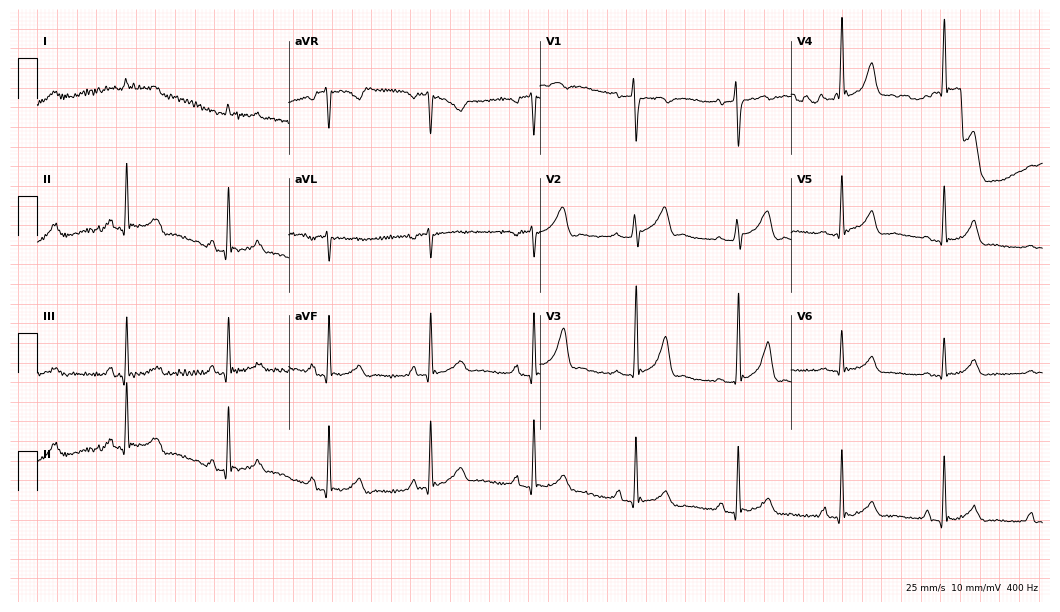
Standard 12-lead ECG recorded from a male, 25 years old. Read as a normal ECG.